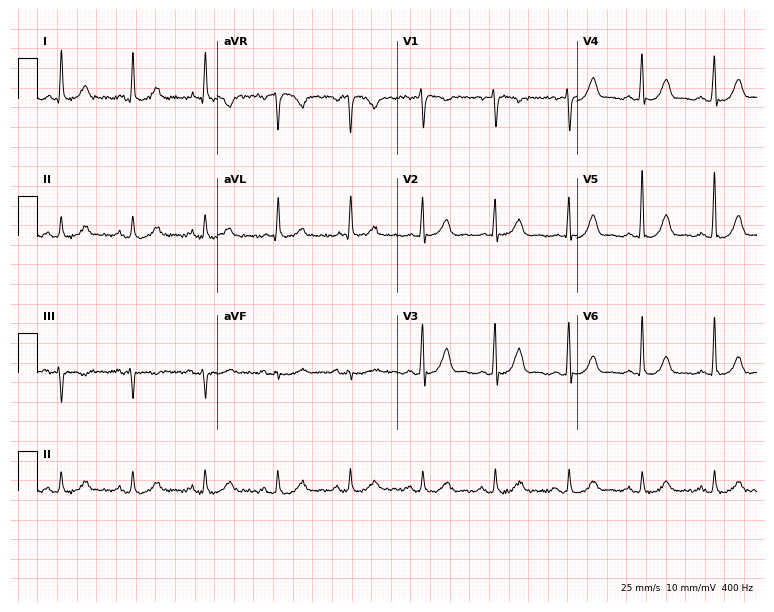
Standard 12-lead ECG recorded from a male patient, 72 years old (7.3-second recording at 400 Hz). Read as a normal ECG.